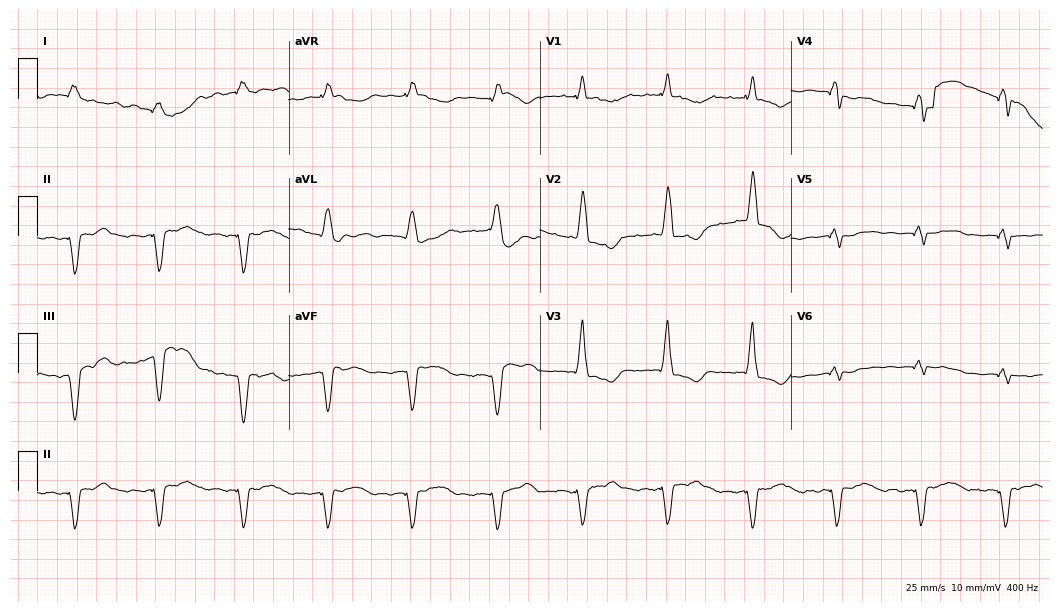
Electrocardiogram (10.2-second recording at 400 Hz), a female patient, 86 years old. Of the six screened findings (first-degree AV block, right bundle branch block, left bundle branch block, sinus bradycardia, atrial fibrillation, sinus tachycardia), none is recorded. Other findings, if any, are not listed.